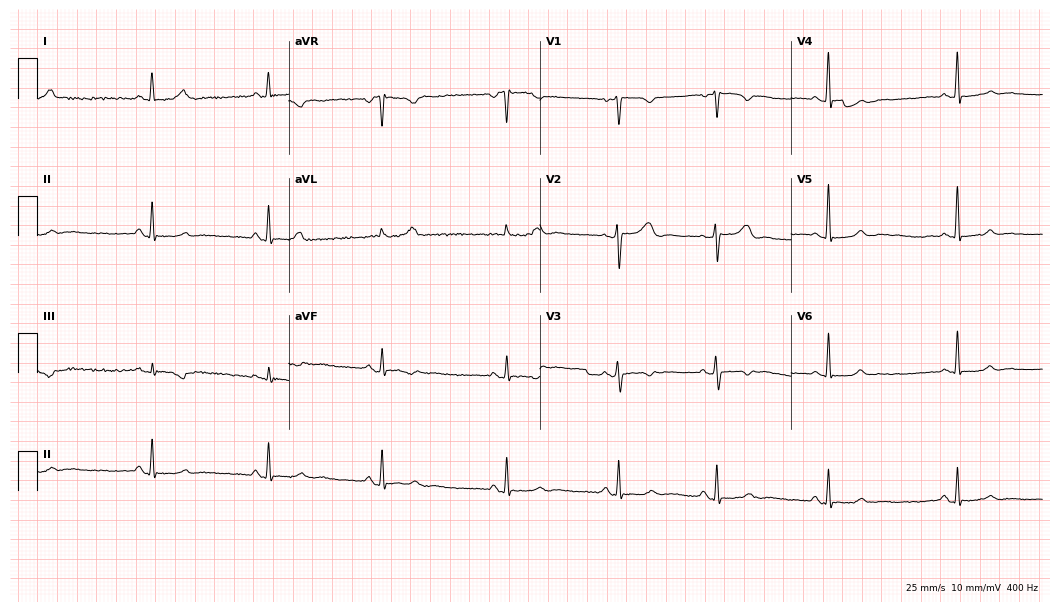
Resting 12-lead electrocardiogram. Patient: a woman, 47 years old. None of these six findings is recorded: first-degree AV block, right bundle branch block (RBBB), left bundle branch block (LBBB), sinus bradycardia, atrial fibrillation (AF), sinus tachycardia.